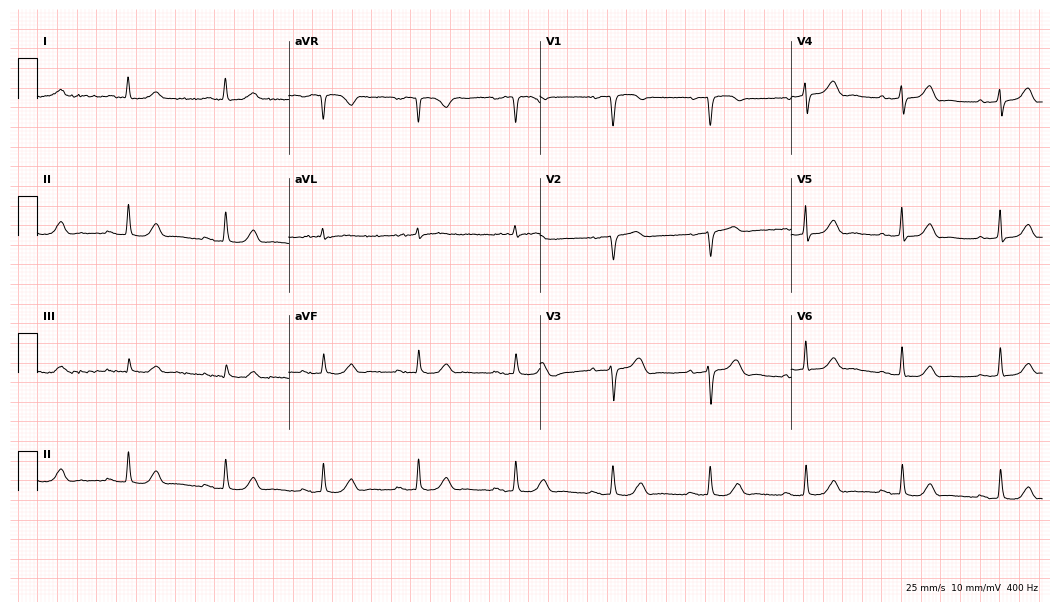
Electrocardiogram (10.2-second recording at 400 Hz), a 77-year-old female patient. Overall reading on record: normal ECG.